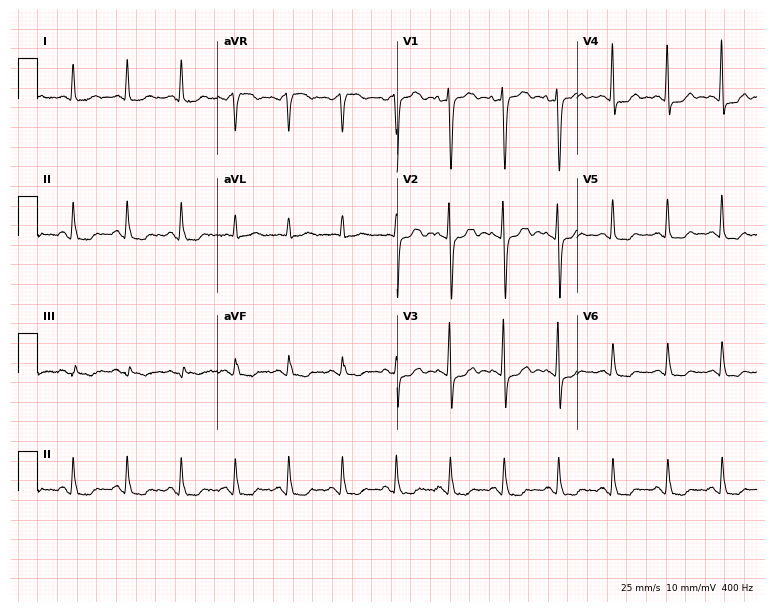
12-lead ECG (7.3-second recording at 400 Hz) from a 67-year-old female. Findings include sinus tachycardia (a sinus rate of 100 beats per minute or more).